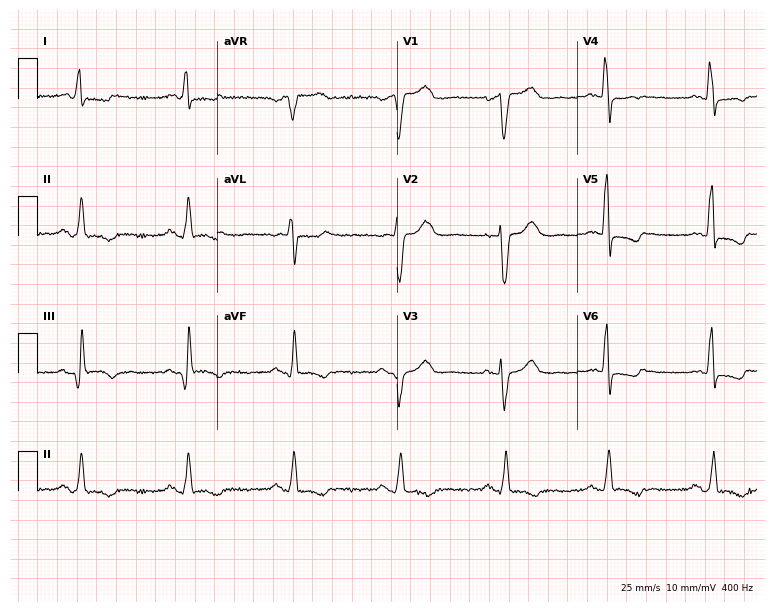
ECG (7.3-second recording at 400 Hz) — a male, 69 years old. Screened for six findings — first-degree AV block, right bundle branch block (RBBB), left bundle branch block (LBBB), sinus bradycardia, atrial fibrillation (AF), sinus tachycardia — none is recorded. Findings outside these six are not listed.